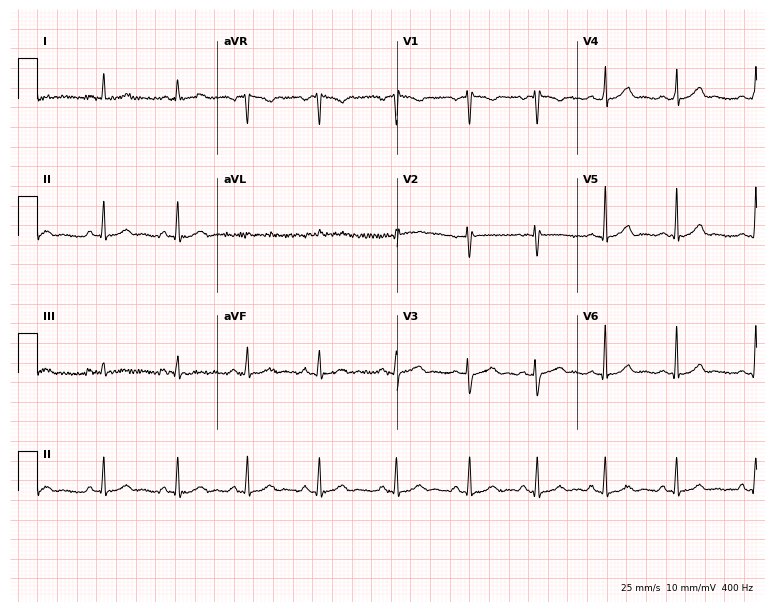
Standard 12-lead ECG recorded from a 26-year-old female patient (7.3-second recording at 400 Hz). Read as a normal ECG.